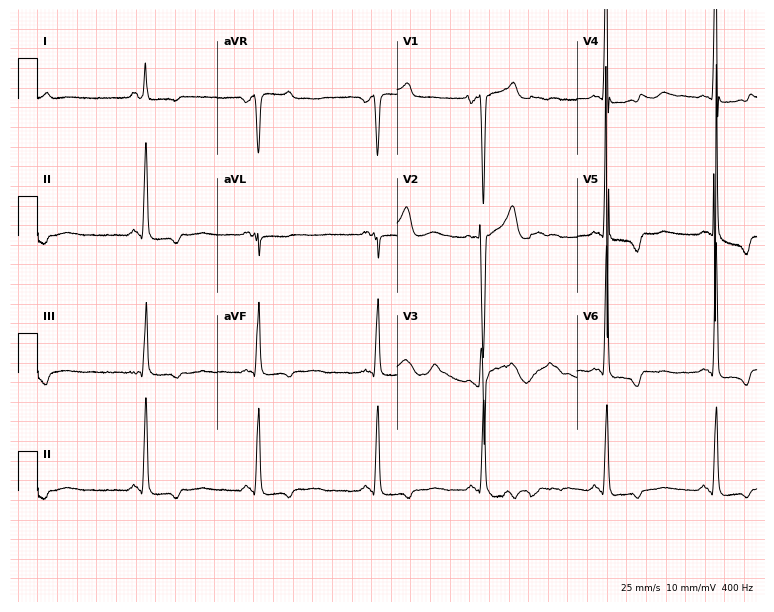
Resting 12-lead electrocardiogram (7.3-second recording at 400 Hz). Patient: a female, 33 years old. None of these six findings is recorded: first-degree AV block, right bundle branch block, left bundle branch block, sinus bradycardia, atrial fibrillation, sinus tachycardia.